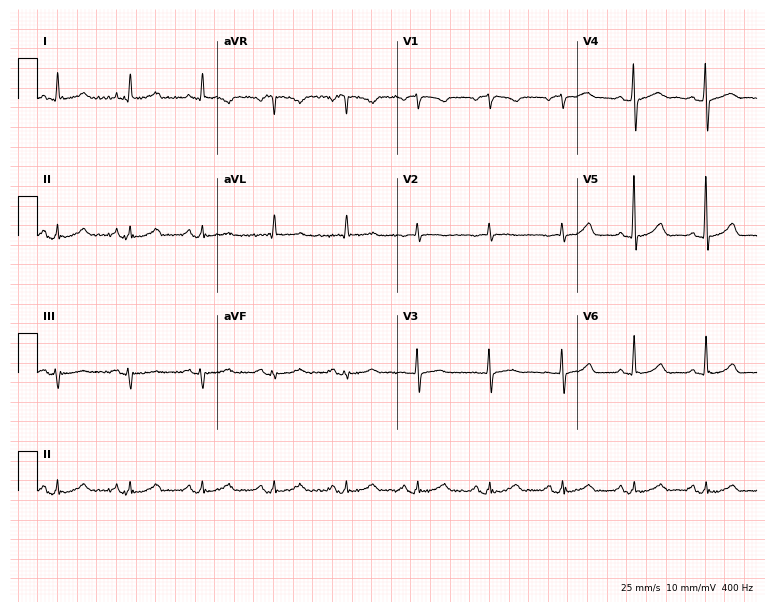
Standard 12-lead ECG recorded from a woman, 75 years old (7.3-second recording at 400 Hz). None of these six findings is recorded: first-degree AV block, right bundle branch block, left bundle branch block, sinus bradycardia, atrial fibrillation, sinus tachycardia.